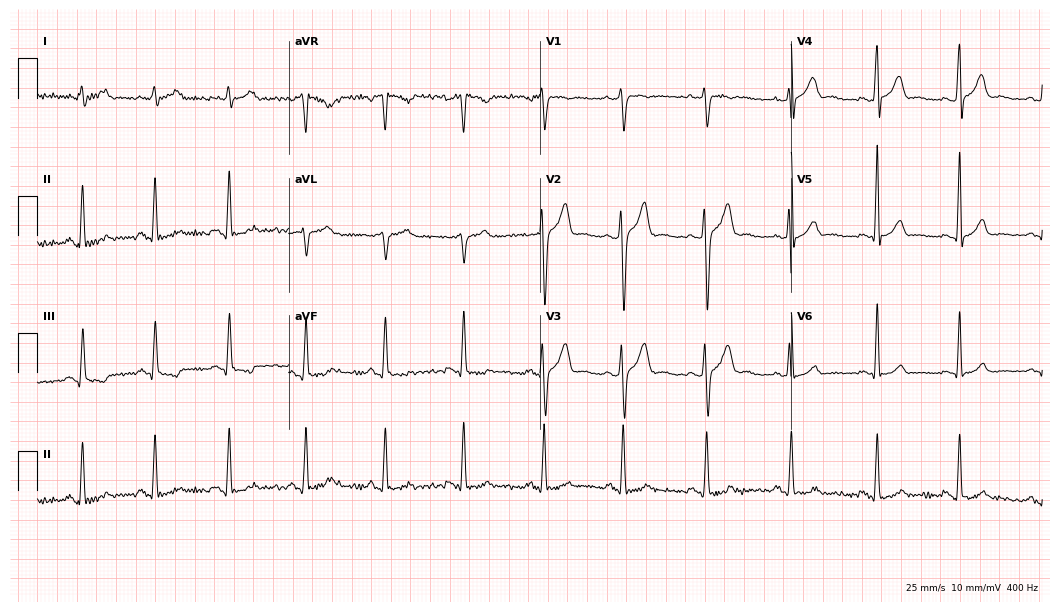
ECG (10.2-second recording at 400 Hz) — a 30-year-old male patient. Labelled as a normal ECG.